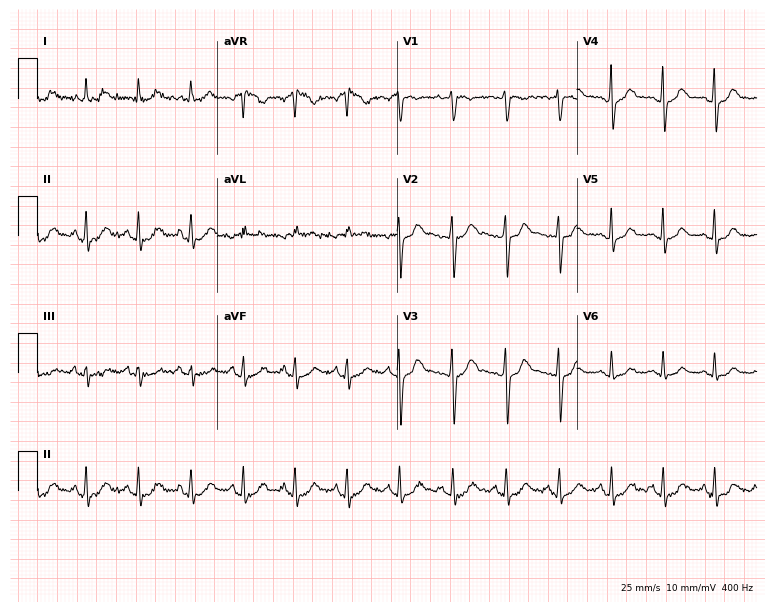
Electrocardiogram (7.3-second recording at 400 Hz), a female patient, 21 years old. Interpretation includes sinus tachycardia (a sinus rate of 100 beats per minute or more).